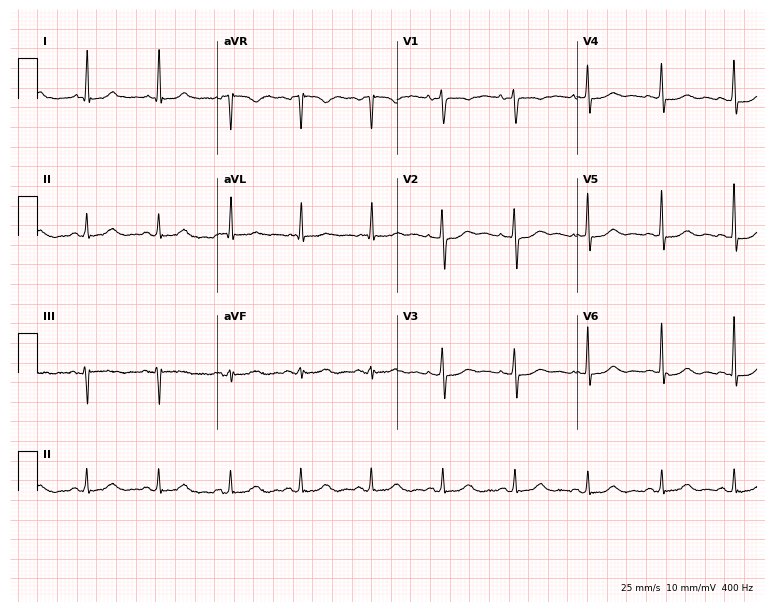
12-lead ECG from a woman, 67 years old (7.3-second recording at 400 Hz). No first-degree AV block, right bundle branch block, left bundle branch block, sinus bradycardia, atrial fibrillation or sinus tachycardia recorded for this tracing. Only these six findings were labelled.